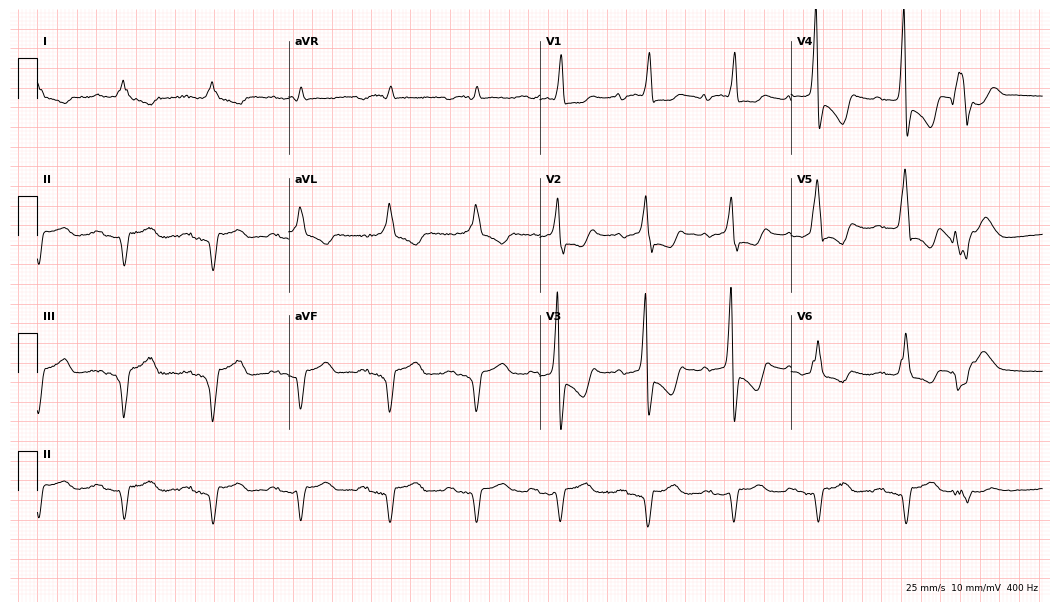
ECG — a male patient, 80 years old. Findings include first-degree AV block, right bundle branch block.